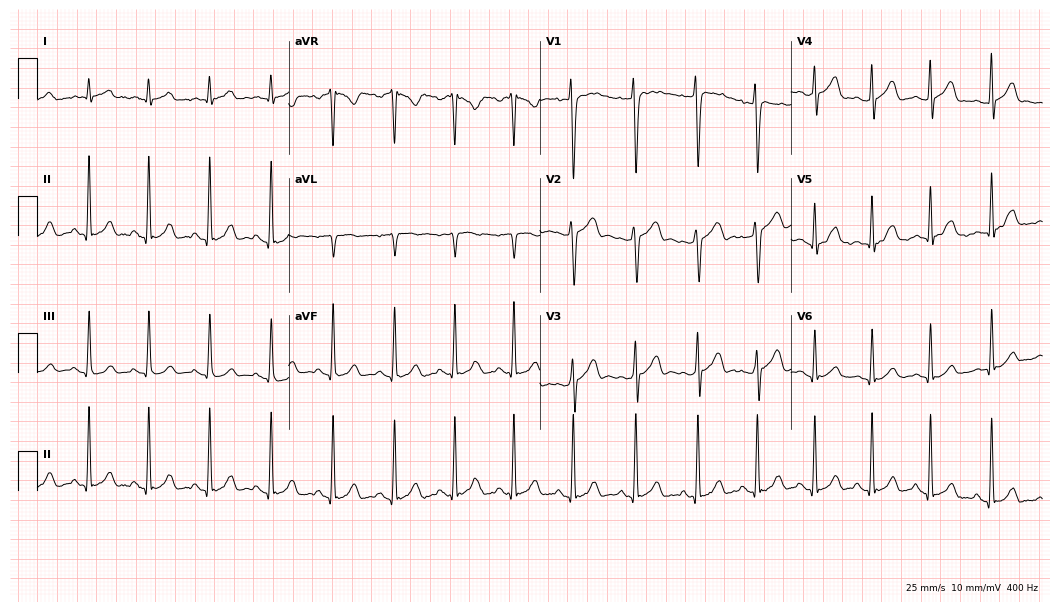
12-lead ECG from a male patient, 17 years old (10.2-second recording at 400 Hz). Recorded interpretation: within normal limits.